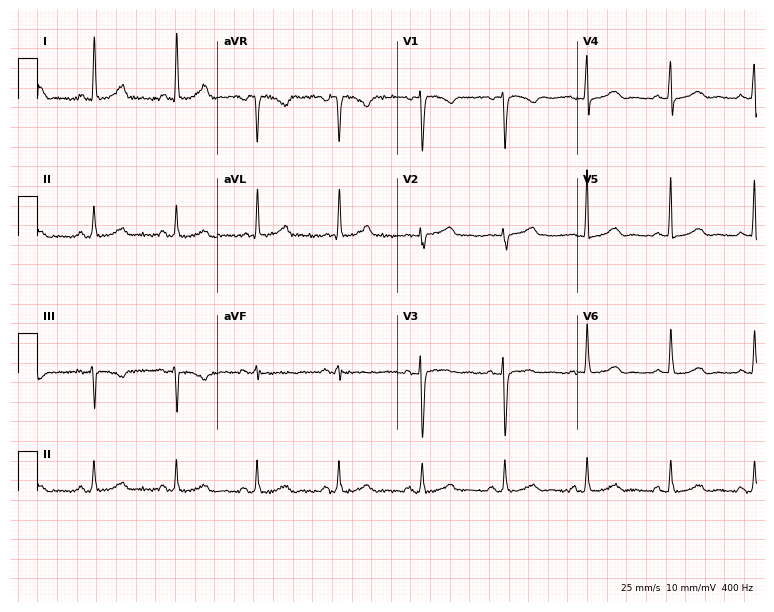
Standard 12-lead ECG recorded from a 53-year-old female patient (7.3-second recording at 400 Hz). Read as a normal ECG.